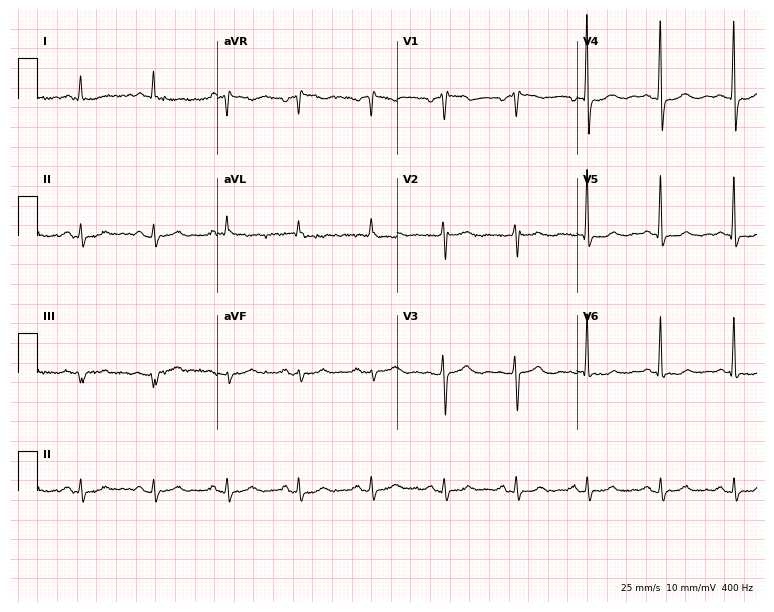
Standard 12-lead ECG recorded from a woman, 83 years old (7.3-second recording at 400 Hz). None of these six findings is recorded: first-degree AV block, right bundle branch block, left bundle branch block, sinus bradycardia, atrial fibrillation, sinus tachycardia.